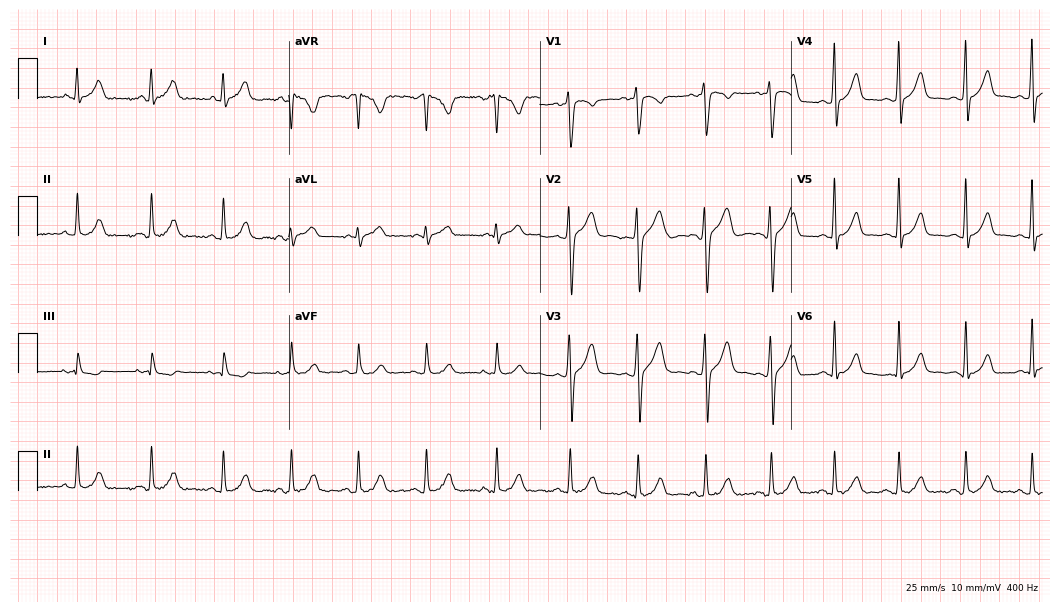
12-lead ECG from a 21-year-old male patient. Labelled as a normal ECG.